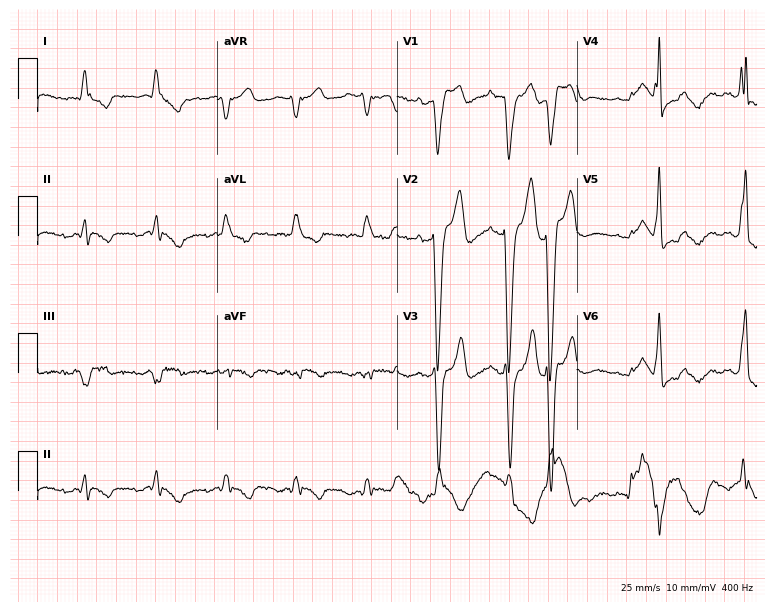
Standard 12-lead ECG recorded from an 83-year-old man (7.3-second recording at 400 Hz). None of these six findings is recorded: first-degree AV block, right bundle branch block (RBBB), left bundle branch block (LBBB), sinus bradycardia, atrial fibrillation (AF), sinus tachycardia. Findings outside these six are not listed.